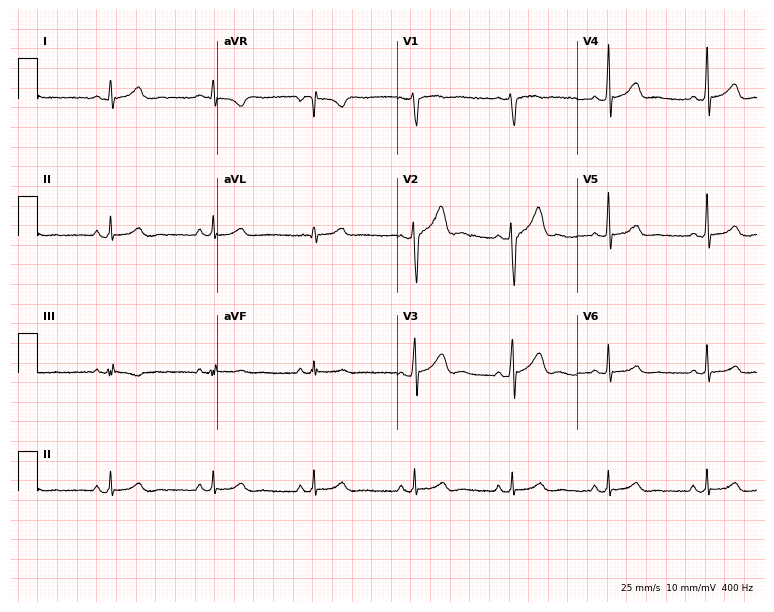
Electrocardiogram, a 79-year-old male patient. Overall reading on record: normal ECG.